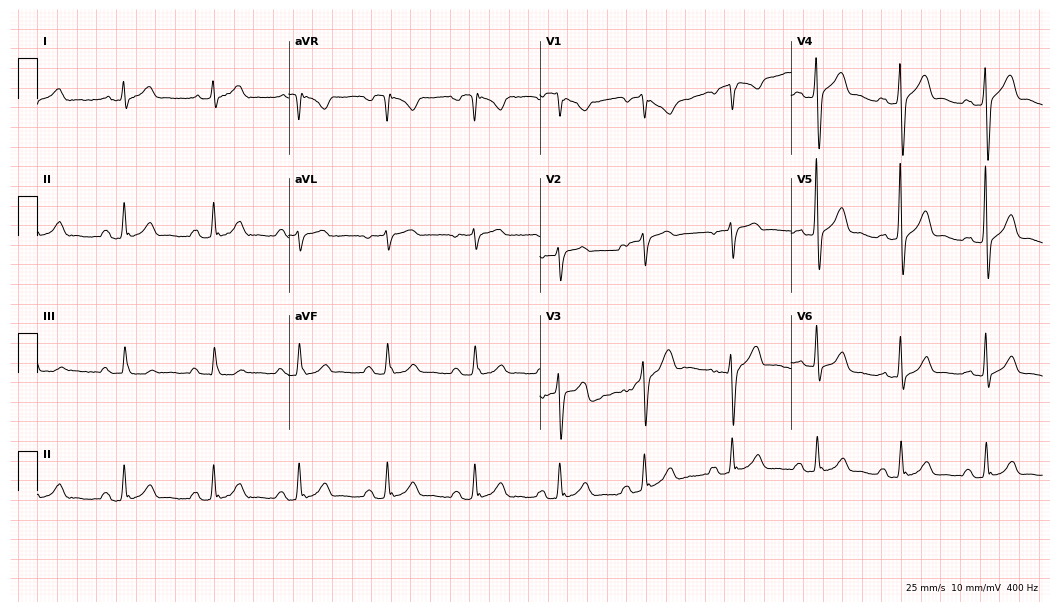
12-lead ECG from a male, 61 years old (10.2-second recording at 400 Hz). No first-degree AV block, right bundle branch block, left bundle branch block, sinus bradycardia, atrial fibrillation or sinus tachycardia recorded for this tracing.